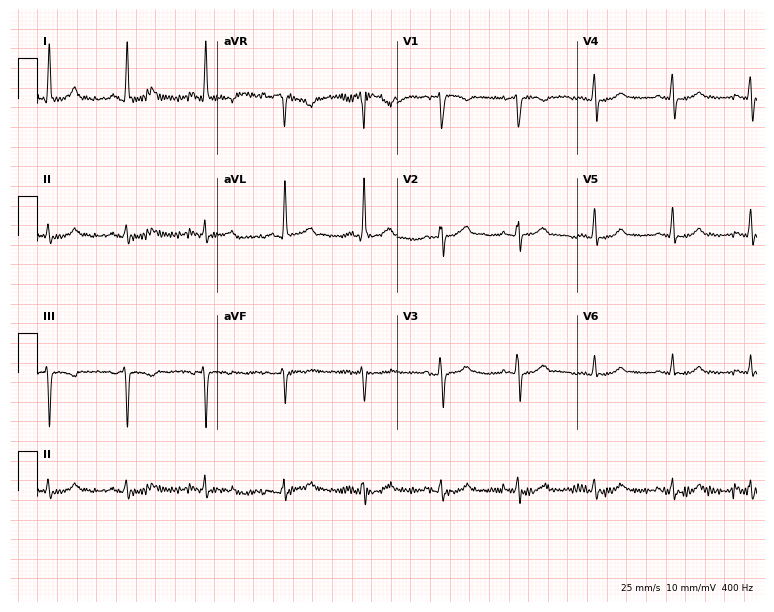
Resting 12-lead electrocardiogram (7.3-second recording at 400 Hz). Patient: a 77-year-old female. None of these six findings is recorded: first-degree AV block, right bundle branch block (RBBB), left bundle branch block (LBBB), sinus bradycardia, atrial fibrillation (AF), sinus tachycardia. Only these six findings were labelled.